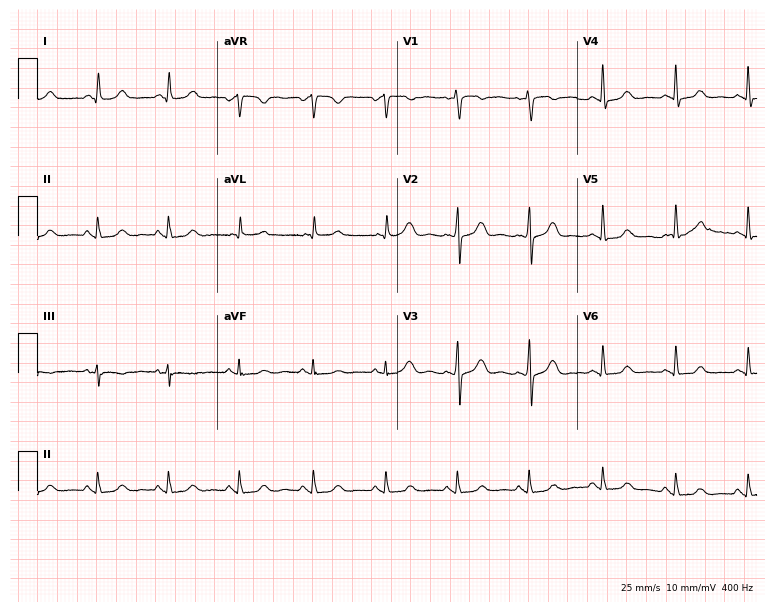
12-lead ECG from a woman, 49 years old (7.3-second recording at 400 Hz). Recorded interpretation: within normal limits.